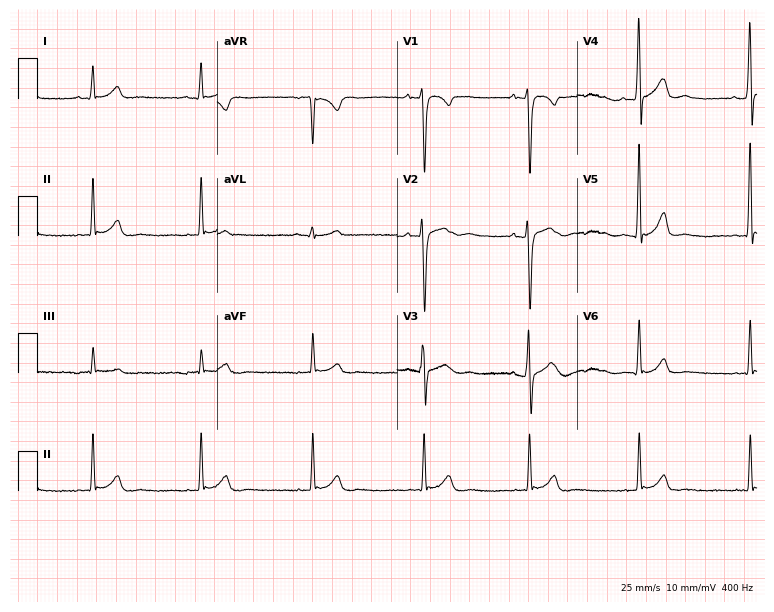
12-lead ECG from a male patient, 19 years old (7.3-second recording at 400 Hz). Recorded interpretation: within normal limits.